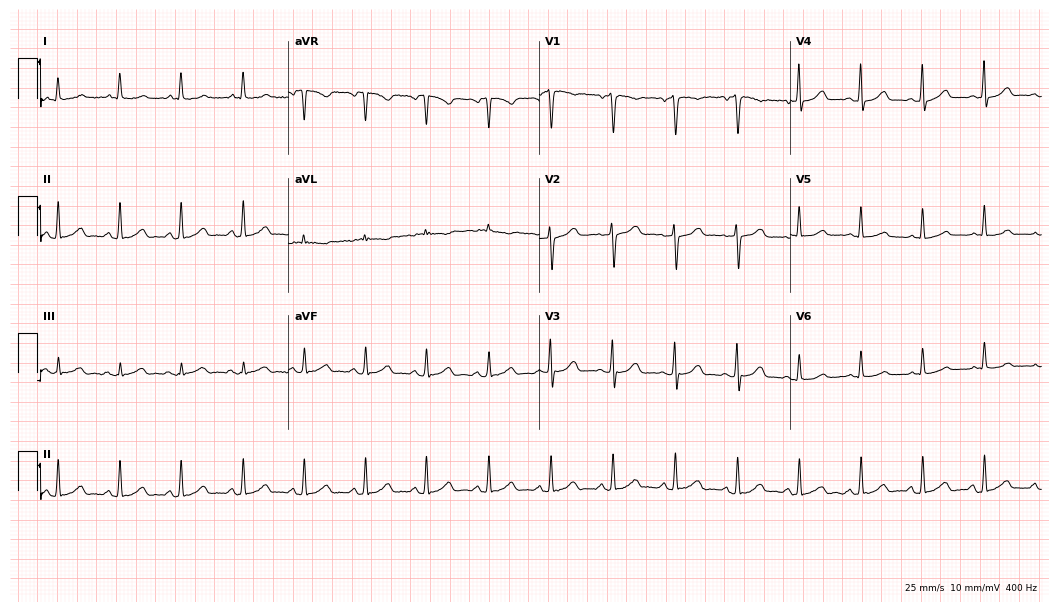
Standard 12-lead ECG recorded from a female, 49 years old (10.2-second recording at 400 Hz). Read as a normal ECG.